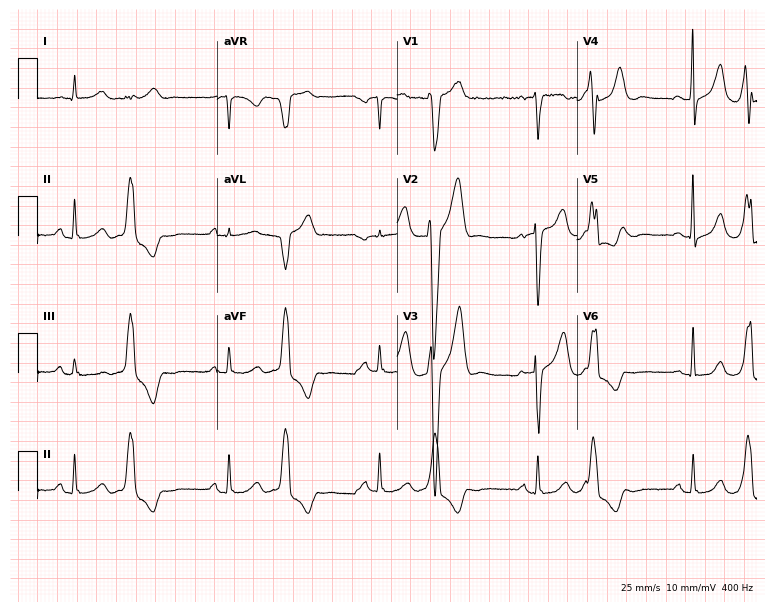
12-lead ECG from a 53-year-old woman (7.3-second recording at 400 Hz). Recorded interpretation: within normal limits.